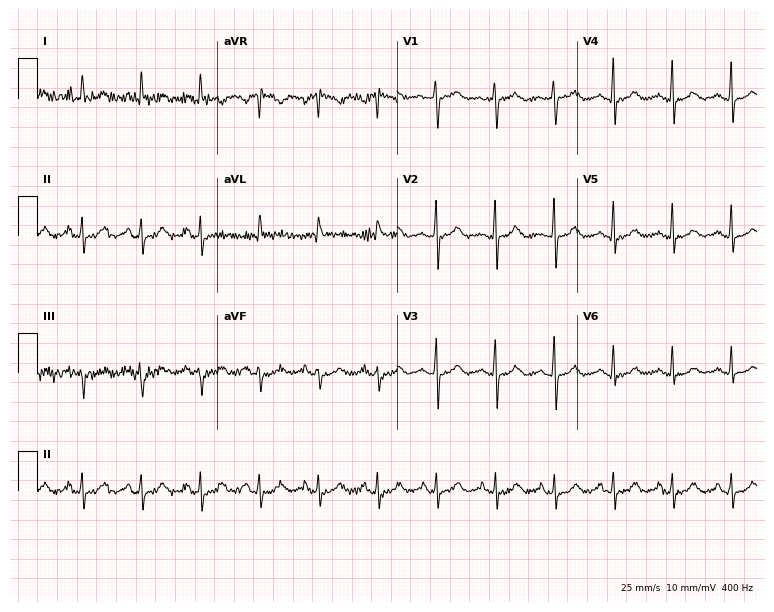
Resting 12-lead electrocardiogram (7.3-second recording at 400 Hz). Patient: a female, 68 years old. None of these six findings is recorded: first-degree AV block, right bundle branch block, left bundle branch block, sinus bradycardia, atrial fibrillation, sinus tachycardia.